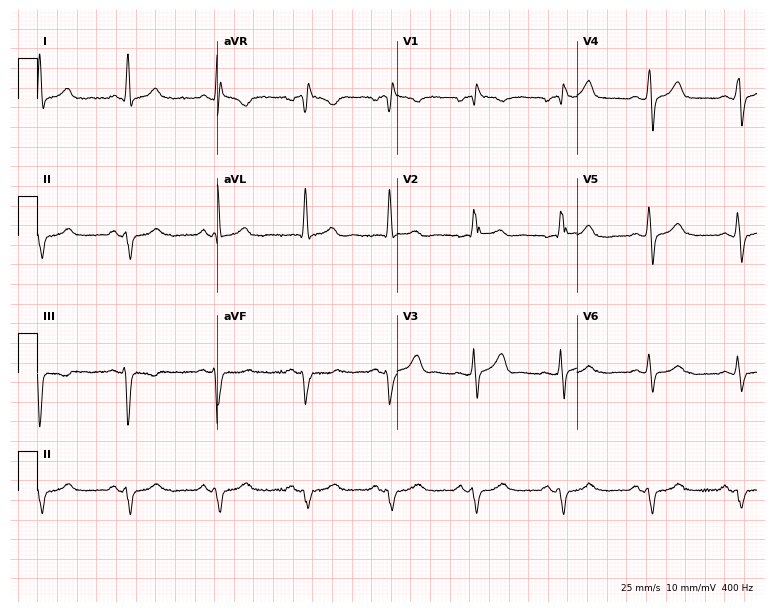
Electrocardiogram (7.3-second recording at 400 Hz), a 61-year-old male patient. Interpretation includes right bundle branch block (RBBB).